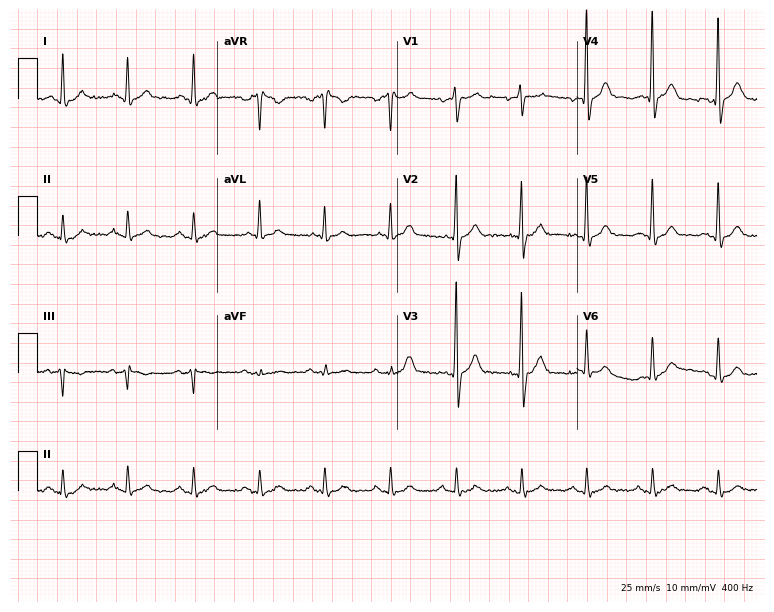
12-lead ECG from a woman, 49 years old. Recorded interpretation: within normal limits.